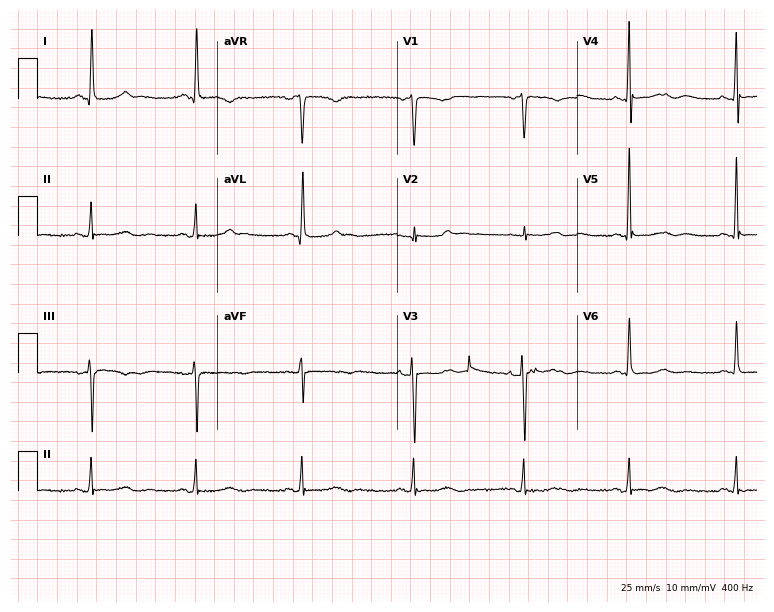
12-lead ECG from a 75-year-old female (7.3-second recording at 400 Hz). Recorded interpretation: within normal limits.